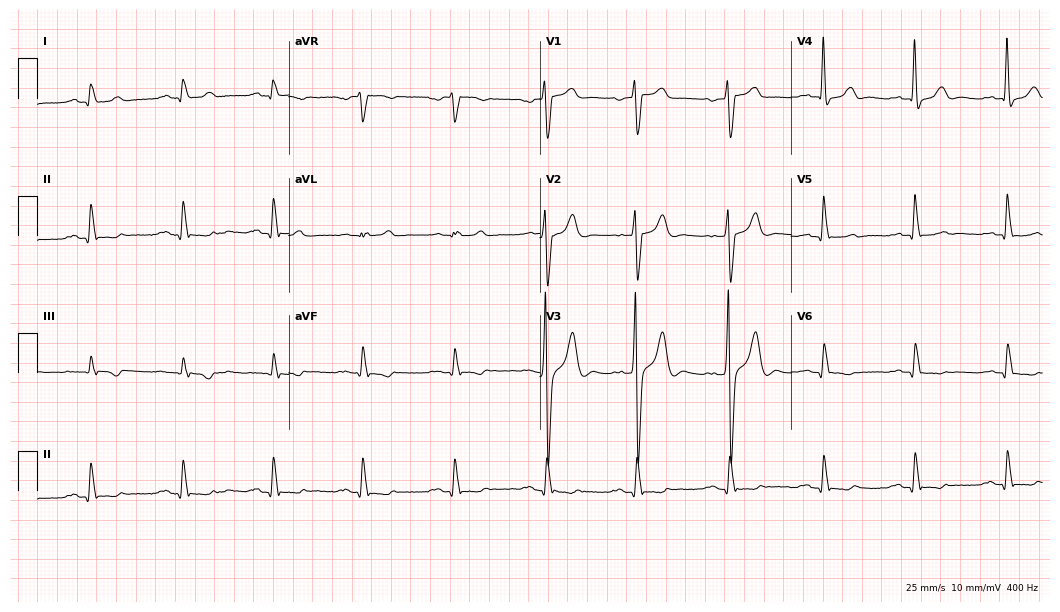
12-lead ECG (10.2-second recording at 400 Hz) from a 51-year-old man. Screened for six findings — first-degree AV block, right bundle branch block, left bundle branch block, sinus bradycardia, atrial fibrillation, sinus tachycardia — none is recorded.